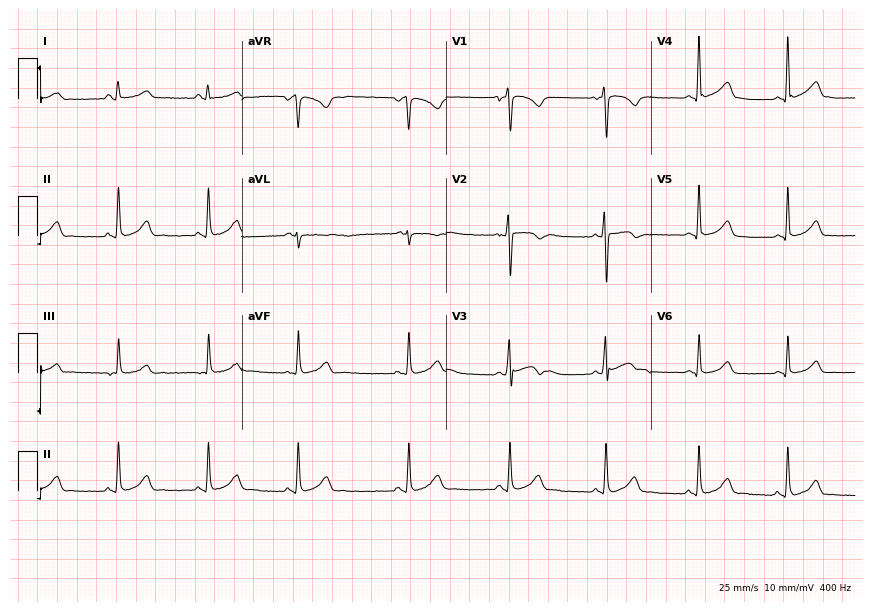
ECG — a female, 21 years old. Labelled as a normal ECG.